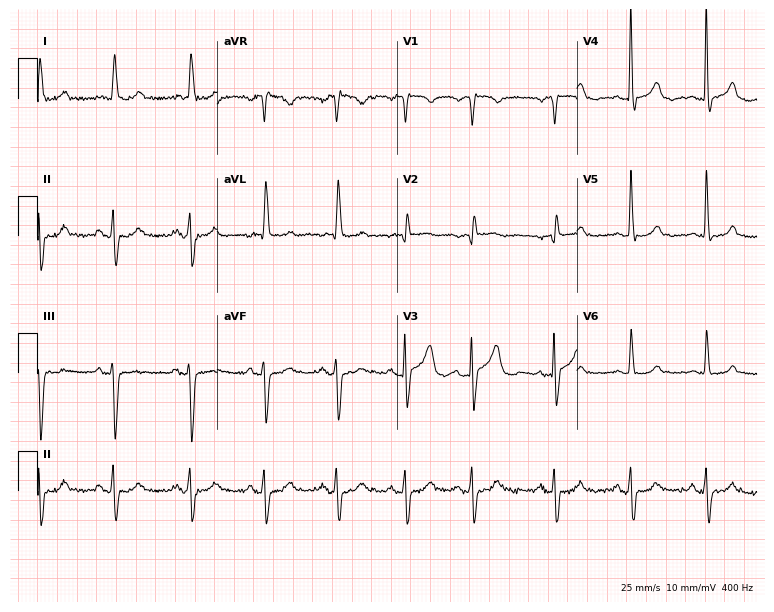
Resting 12-lead electrocardiogram (7.3-second recording at 400 Hz). Patient: a woman, 83 years old. None of these six findings is recorded: first-degree AV block, right bundle branch block, left bundle branch block, sinus bradycardia, atrial fibrillation, sinus tachycardia.